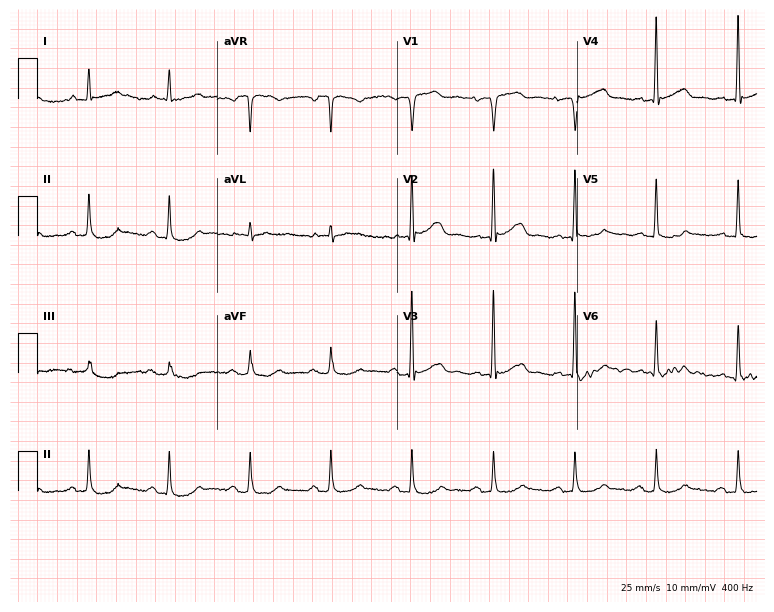
Electrocardiogram, a male patient, 73 years old. Of the six screened findings (first-degree AV block, right bundle branch block, left bundle branch block, sinus bradycardia, atrial fibrillation, sinus tachycardia), none is recorded.